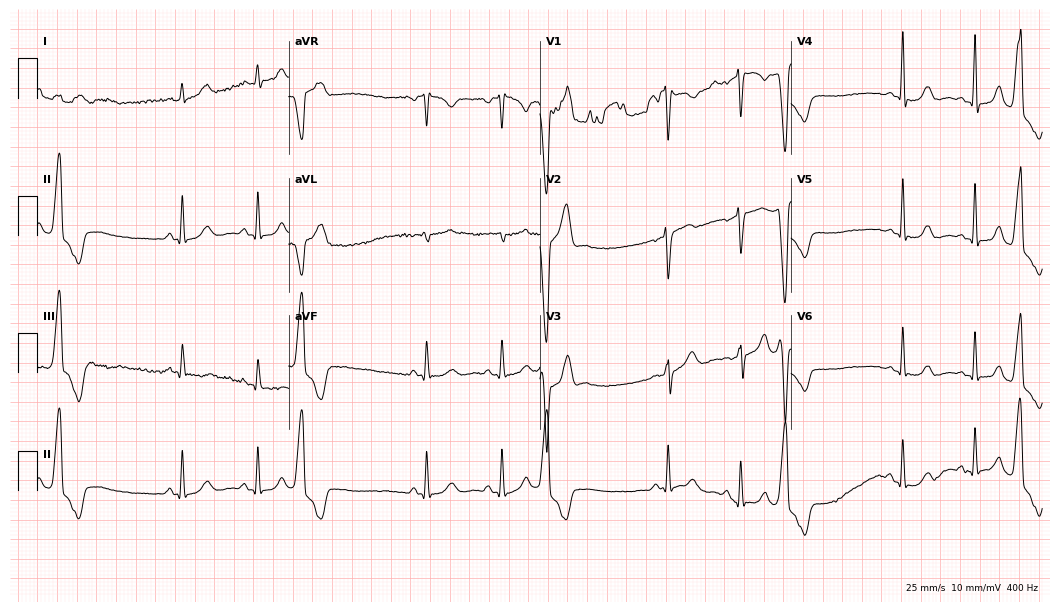
Standard 12-lead ECG recorded from a 33-year-old female patient (10.2-second recording at 400 Hz). None of these six findings is recorded: first-degree AV block, right bundle branch block, left bundle branch block, sinus bradycardia, atrial fibrillation, sinus tachycardia. Other findings, if any, are not listed.